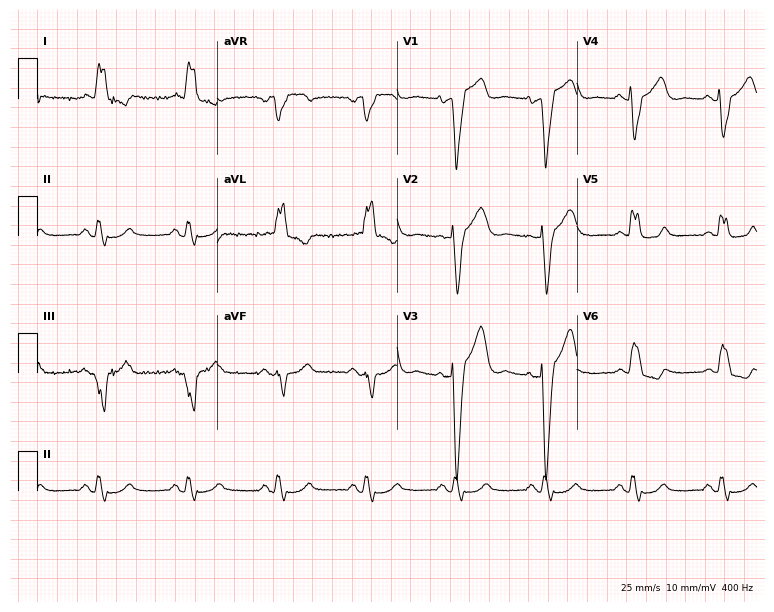
12-lead ECG from a female, 83 years old. Shows left bundle branch block.